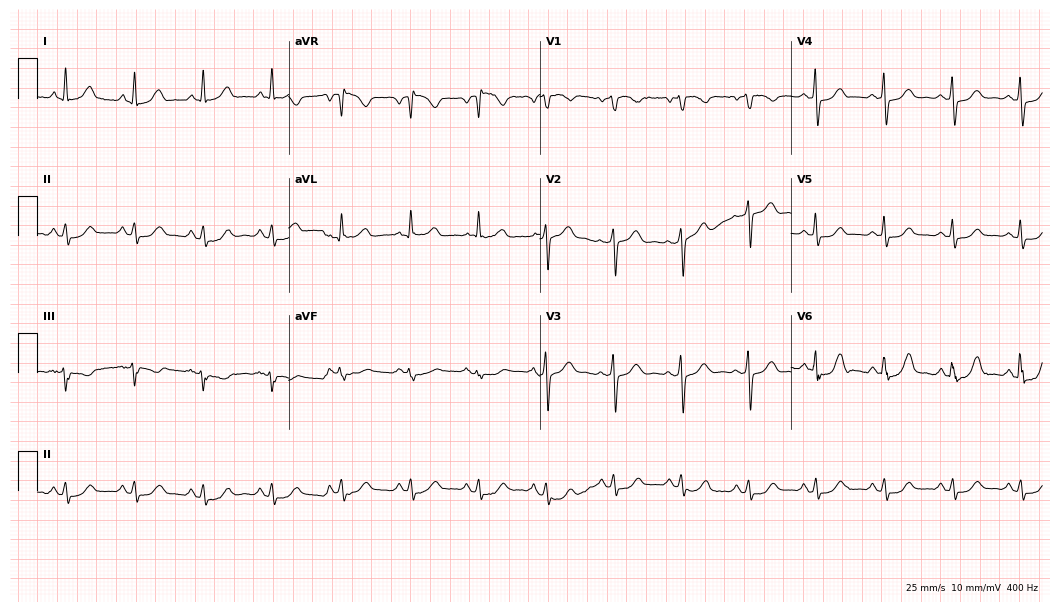
12-lead ECG from a 64-year-old female patient (10.2-second recording at 400 Hz). No first-degree AV block, right bundle branch block (RBBB), left bundle branch block (LBBB), sinus bradycardia, atrial fibrillation (AF) or sinus tachycardia recorded for this tracing. Findings outside these six are not listed.